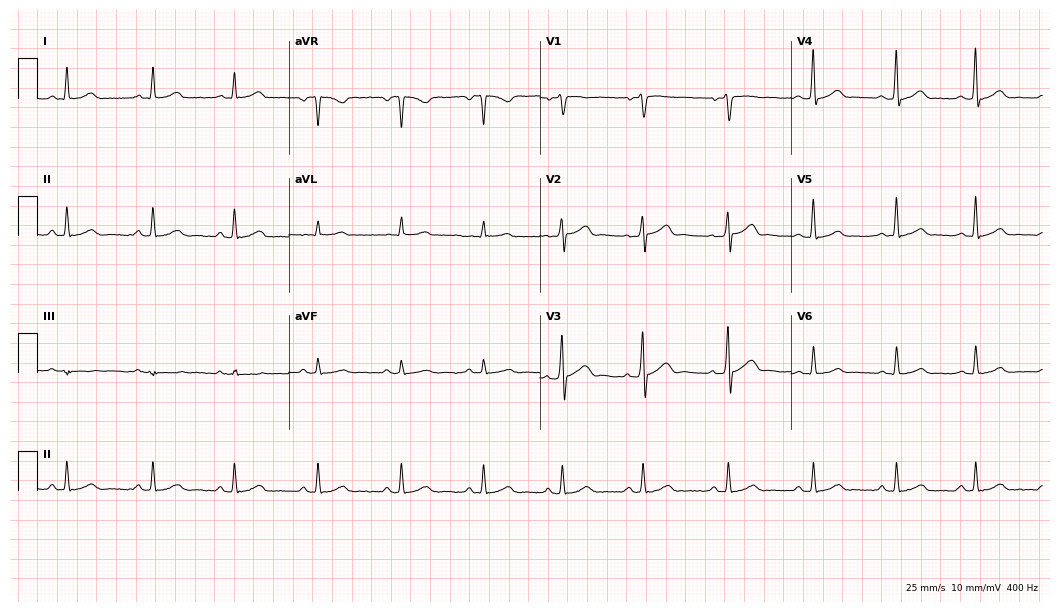
12-lead ECG from a man, 33 years old (10.2-second recording at 400 Hz). Recorded interpretation: within normal limits.